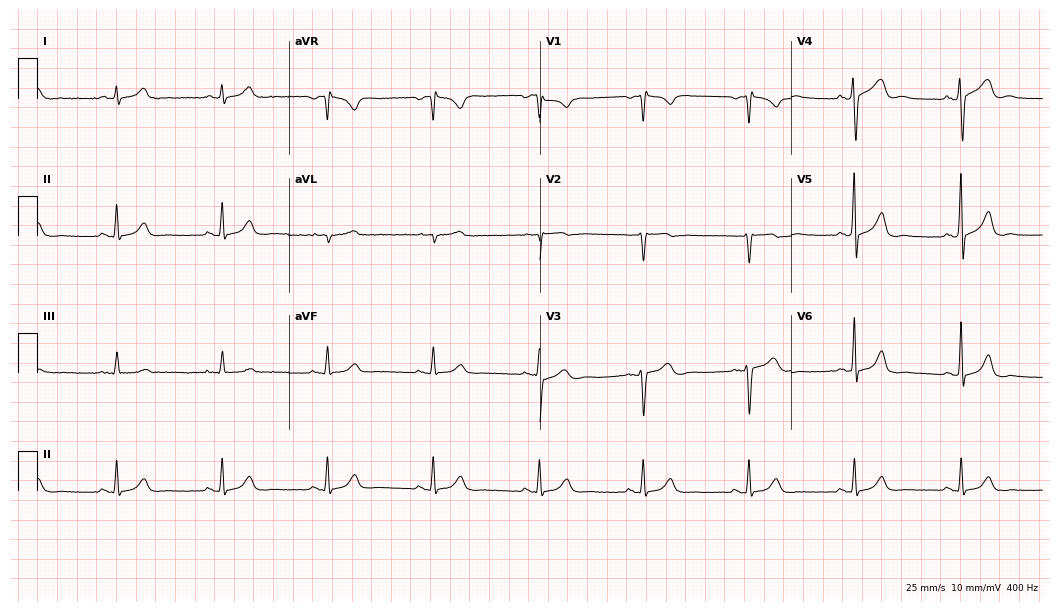
Standard 12-lead ECG recorded from a man, 51 years old (10.2-second recording at 400 Hz). Read as a normal ECG.